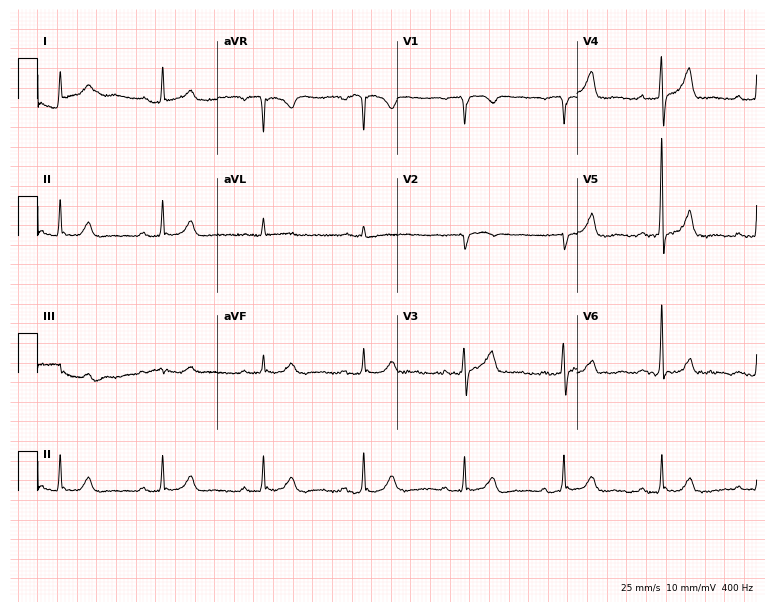
12-lead ECG from an 81-year-old man (7.3-second recording at 400 Hz). Recorded interpretation: within normal limits.